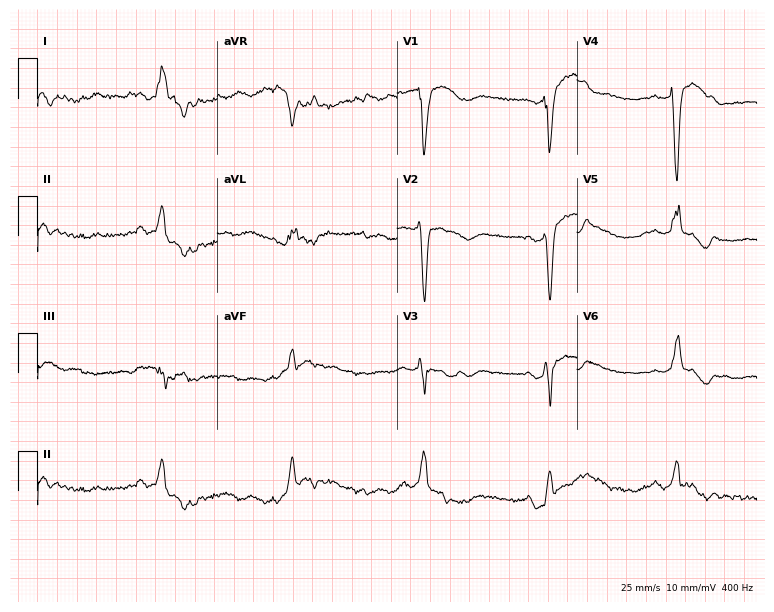
12-lead ECG from a female, 74 years old. Findings include left bundle branch block.